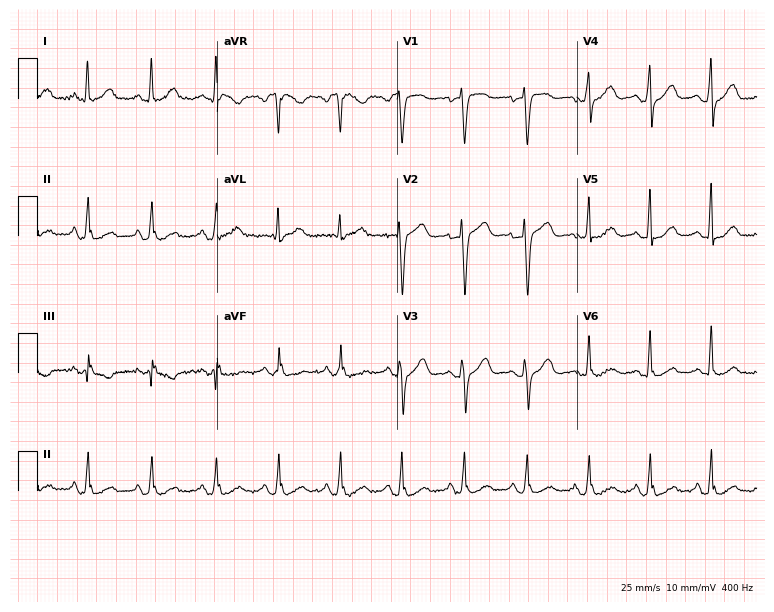
12-lead ECG from a 58-year-old female. Screened for six findings — first-degree AV block, right bundle branch block, left bundle branch block, sinus bradycardia, atrial fibrillation, sinus tachycardia — none is recorded.